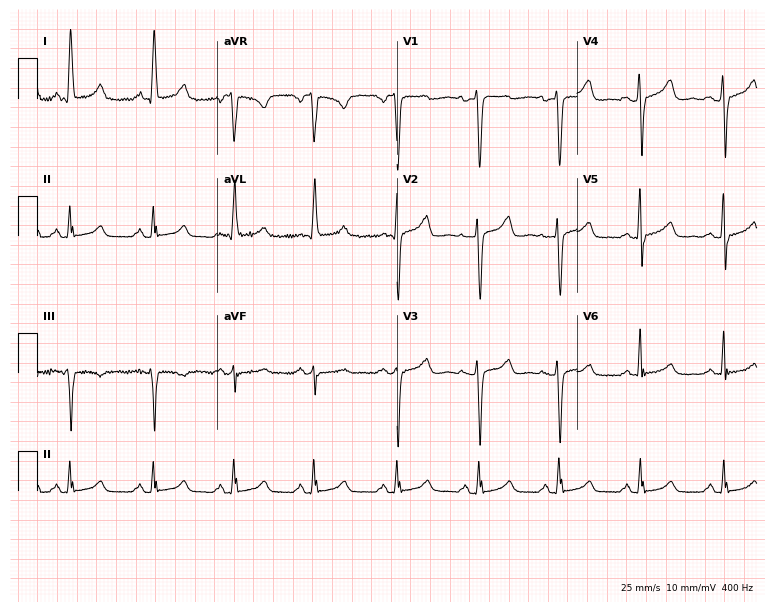
ECG (7.3-second recording at 400 Hz) — a 57-year-old woman. Labelled as a normal ECG.